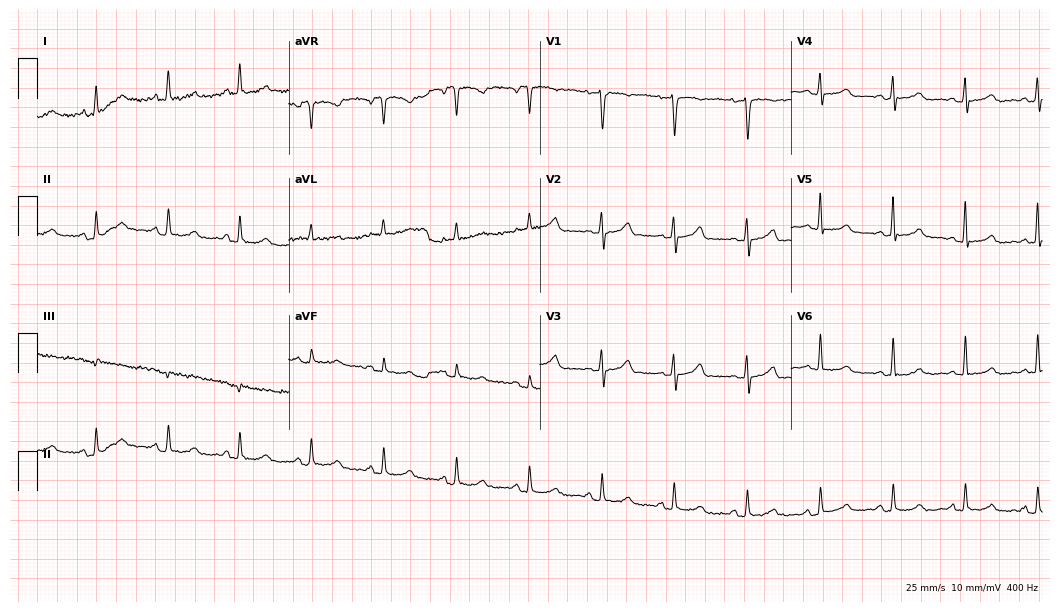
Resting 12-lead electrocardiogram (10.2-second recording at 400 Hz). Patient: a 60-year-old female. Read as a normal ECG.